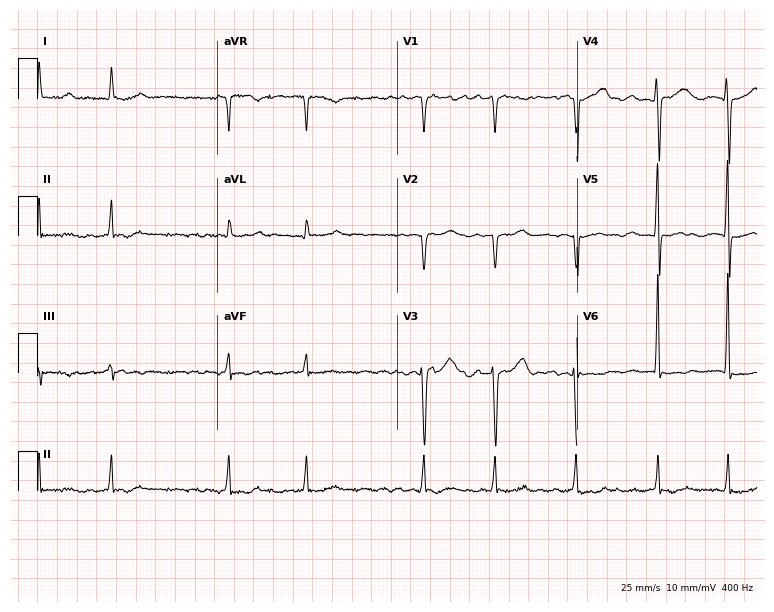
Electrocardiogram (7.3-second recording at 400 Hz), an 86-year-old female patient. Interpretation includes atrial fibrillation.